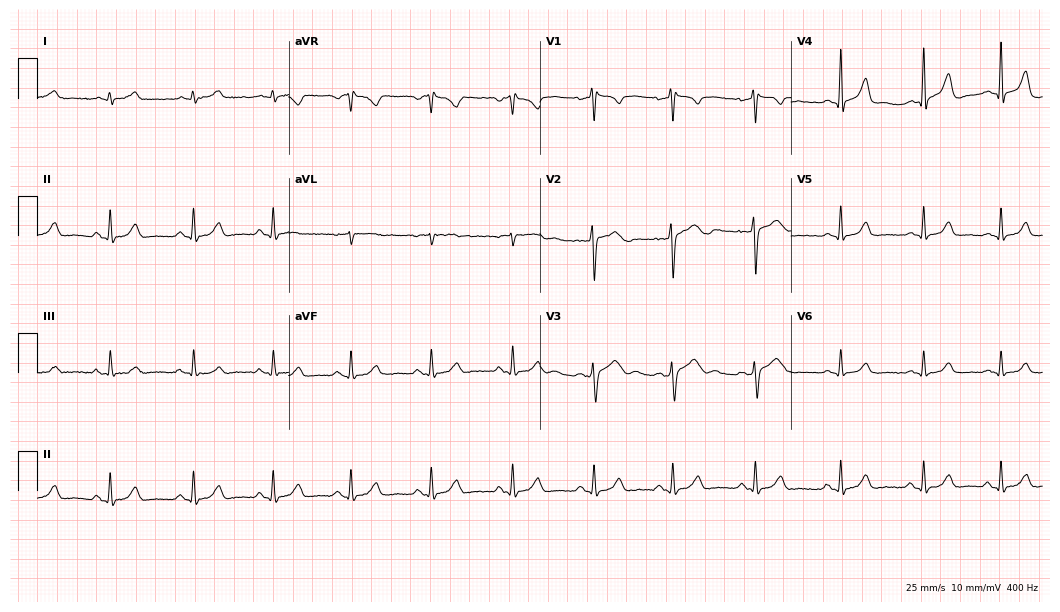
Electrocardiogram, a 35-year-old female. Overall reading on record: normal ECG.